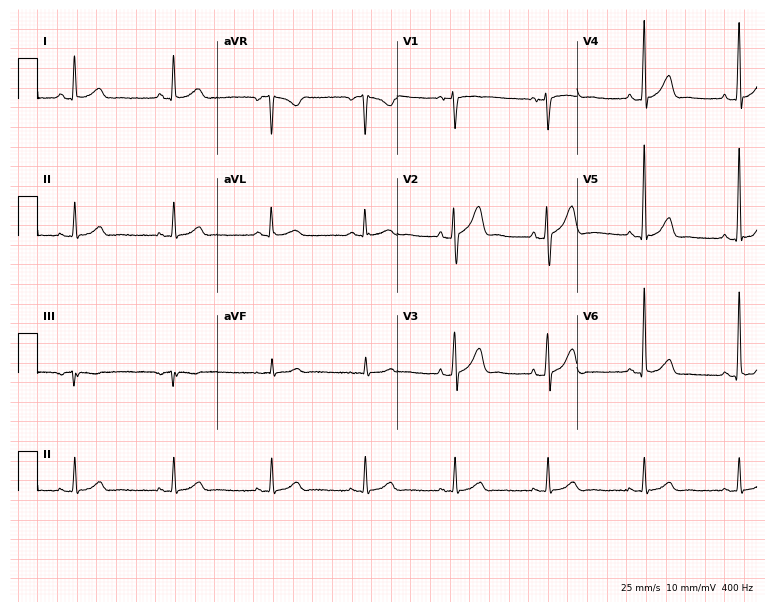
ECG — a 62-year-old man. Labelled as a normal ECG.